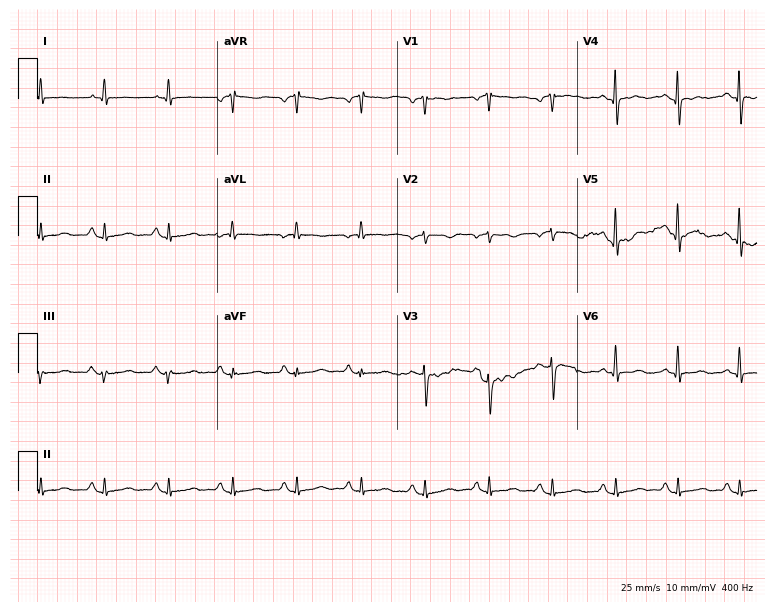
ECG — a 72-year-old female patient. Screened for six findings — first-degree AV block, right bundle branch block, left bundle branch block, sinus bradycardia, atrial fibrillation, sinus tachycardia — none is recorded.